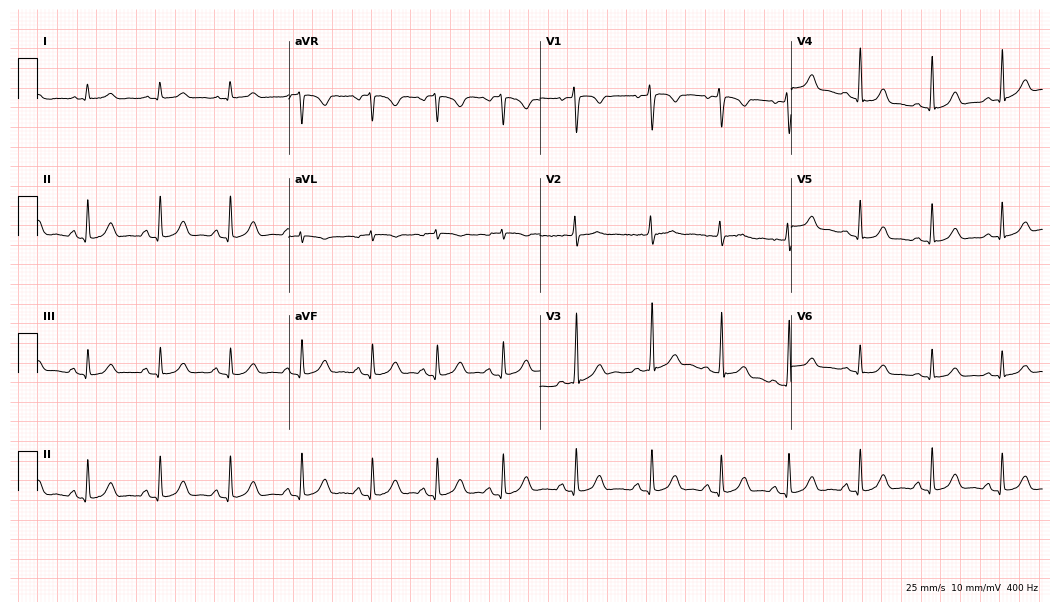
12-lead ECG (10.2-second recording at 400 Hz) from a female, 21 years old. Labelled as a normal ECG.